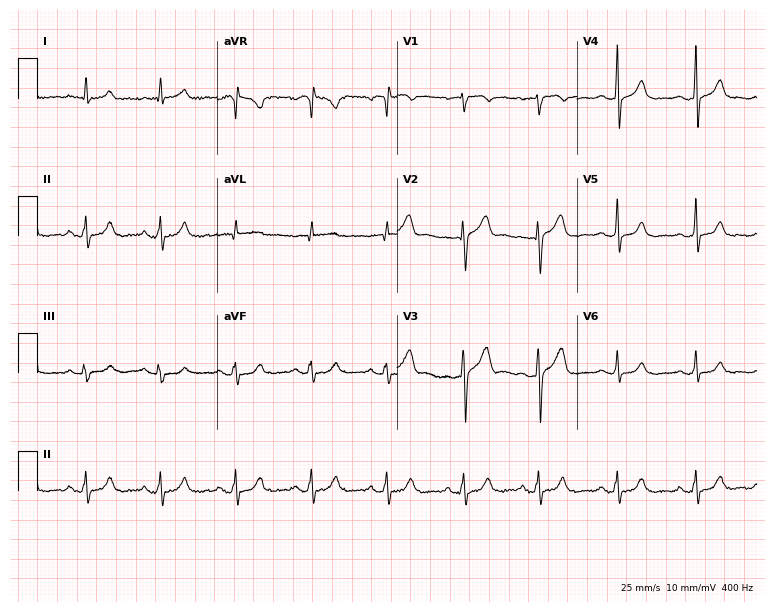
12-lead ECG from a 46-year-old male (7.3-second recording at 400 Hz). Recorded interpretation: within normal limits.